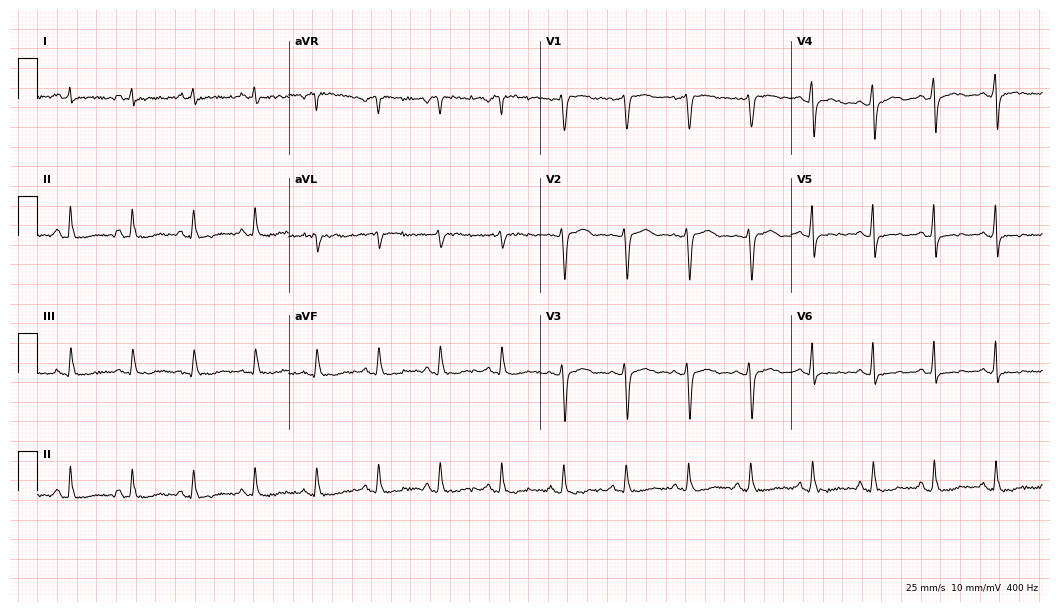
12-lead ECG from a 52-year-old woman (10.2-second recording at 400 Hz). No first-degree AV block, right bundle branch block, left bundle branch block, sinus bradycardia, atrial fibrillation or sinus tachycardia recorded for this tracing. Only these six findings were labelled.